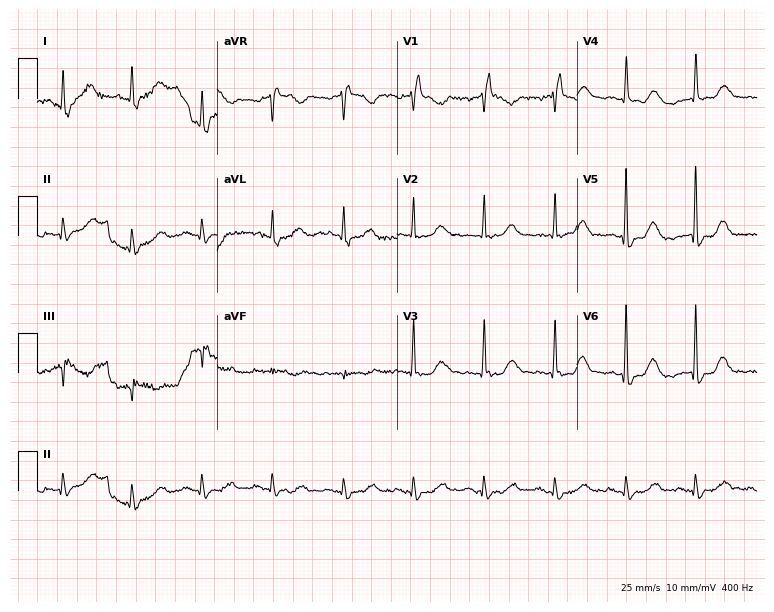
Resting 12-lead electrocardiogram (7.3-second recording at 400 Hz). Patient: an 83-year-old female. None of these six findings is recorded: first-degree AV block, right bundle branch block (RBBB), left bundle branch block (LBBB), sinus bradycardia, atrial fibrillation (AF), sinus tachycardia. Findings outside these six are not listed.